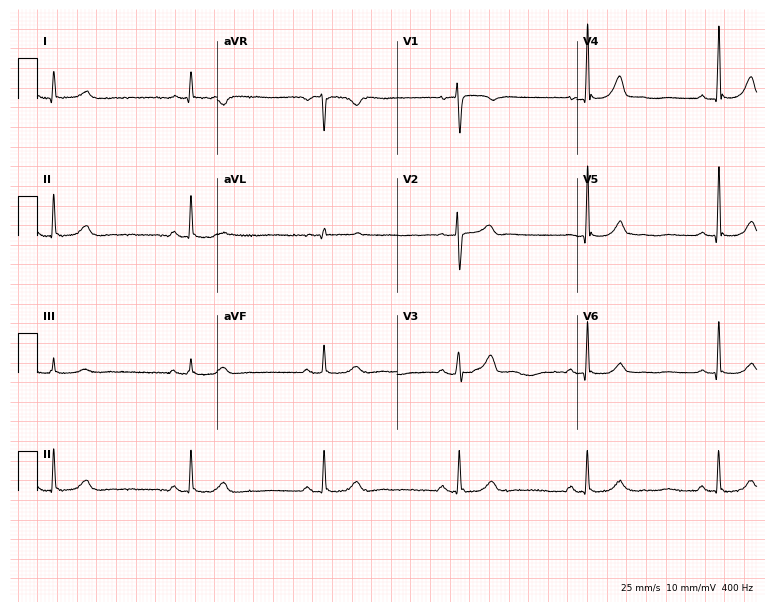
12-lead ECG from a 44-year-old female patient (7.3-second recording at 400 Hz). No first-degree AV block, right bundle branch block, left bundle branch block, sinus bradycardia, atrial fibrillation or sinus tachycardia recorded for this tracing.